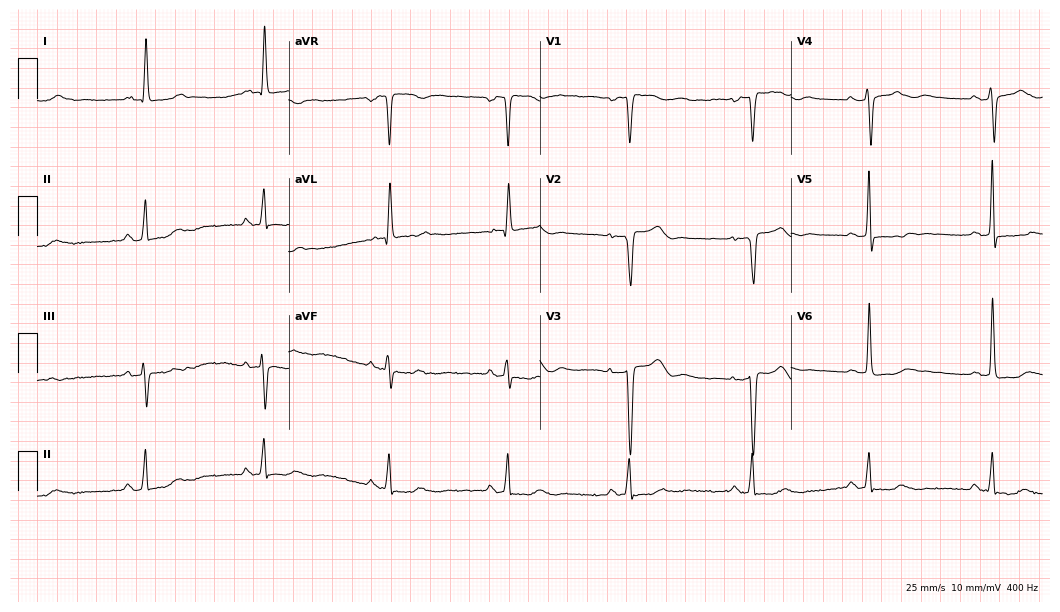
12-lead ECG from a female, 81 years old (10.2-second recording at 400 Hz). Shows sinus bradycardia (a sinus rate of 50 beats per minute or less).